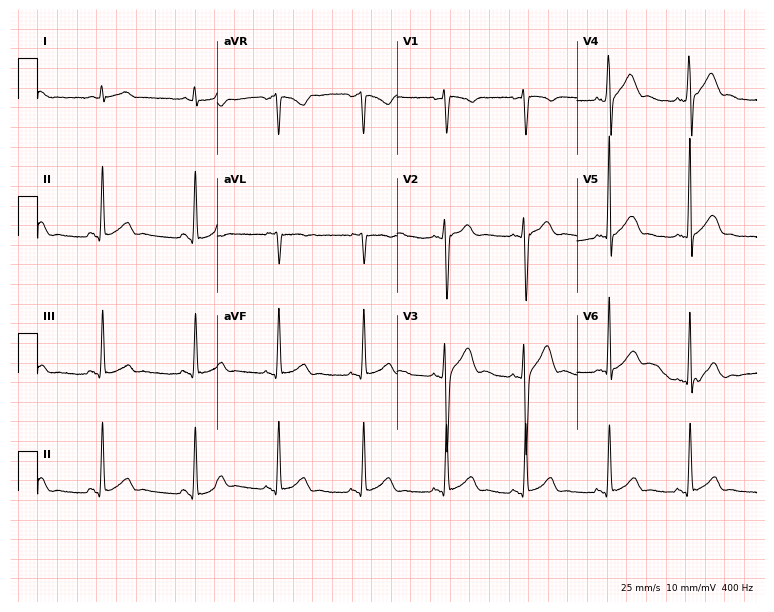
ECG — a man, 25 years old. Screened for six findings — first-degree AV block, right bundle branch block, left bundle branch block, sinus bradycardia, atrial fibrillation, sinus tachycardia — none is recorded. Only these six findings were labelled.